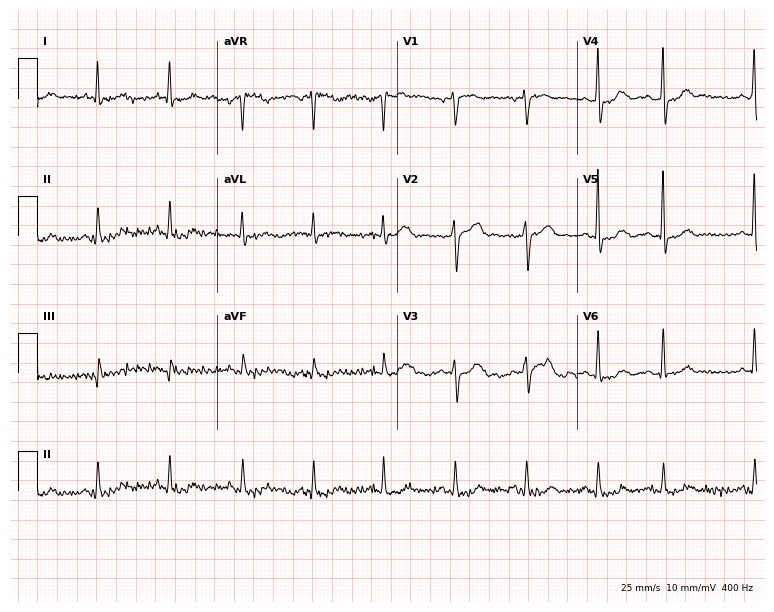
12-lead ECG from a male, 71 years old. No first-degree AV block, right bundle branch block, left bundle branch block, sinus bradycardia, atrial fibrillation or sinus tachycardia recorded for this tracing. Only these six findings were labelled.